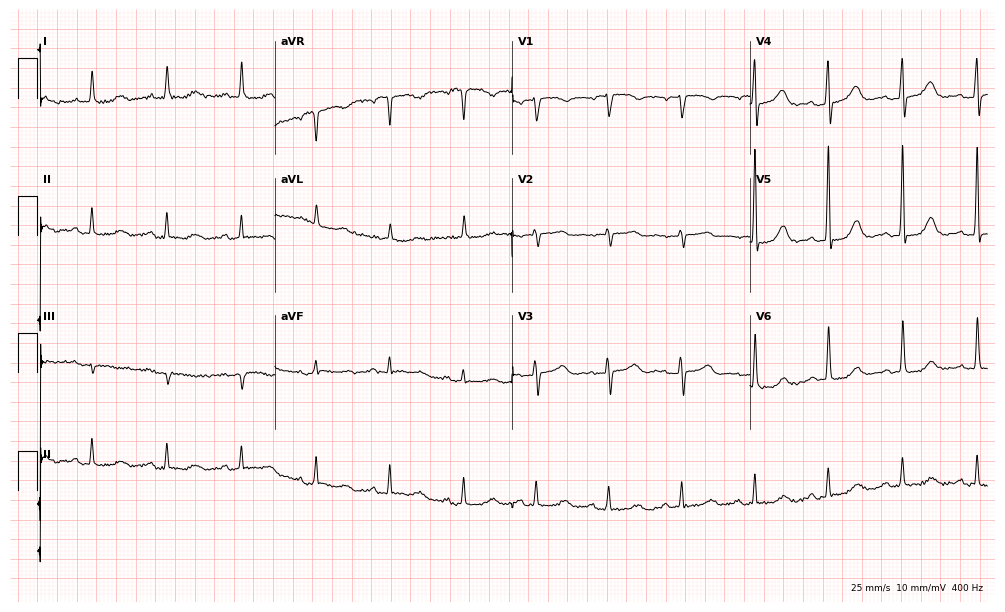
Electrocardiogram, a woman, 84 years old. Overall reading on record: normal ECG.